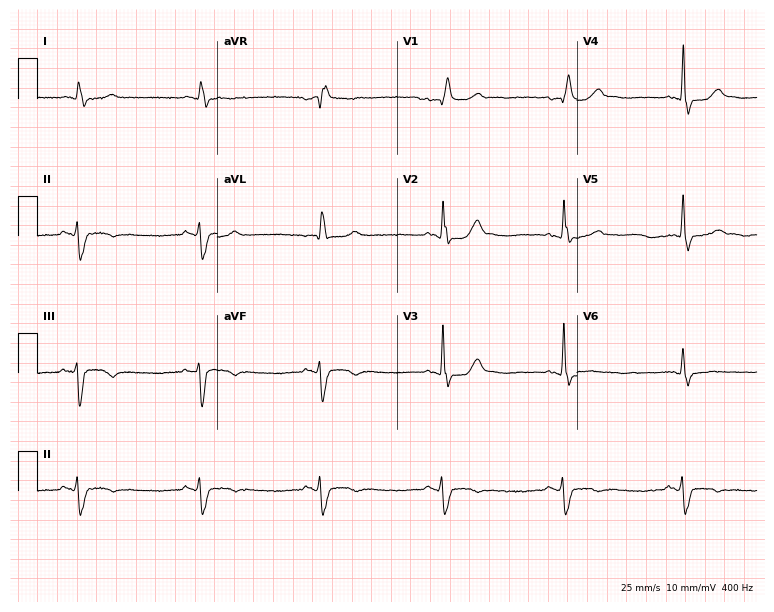
Electrocardiogram (7.3-second recording at 400 Hz), a male, 72 years old. Interpretation includes right bundle branch block (RBBB), sinus bradycardia (a sinus rate of 50 beats per minute or less).